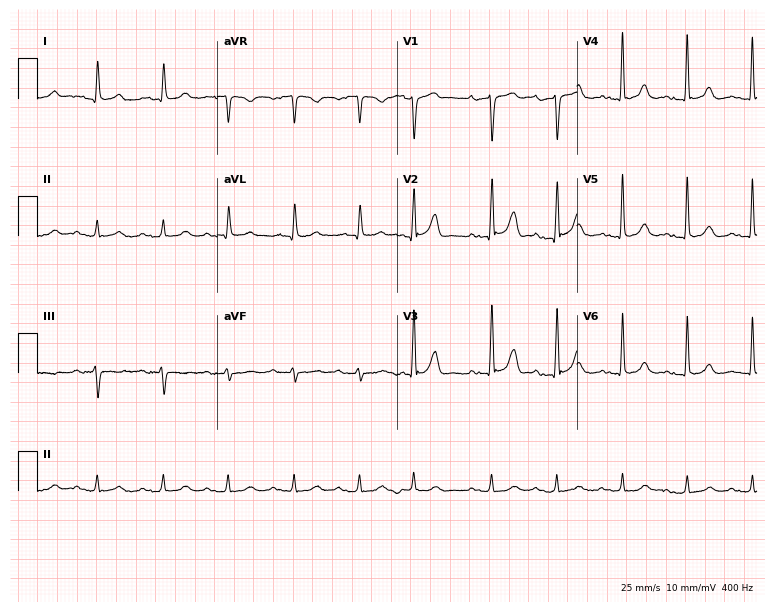
Standard 12-lead ECG recorded from an 83-year-old male patient. None of these six findings is recorded: first-degree AV block, right bundle branch block (RBBB), left bundle branch block (LBBB), sinus bradycardia, atrial fibrillation (AF), sinus tachycardia.